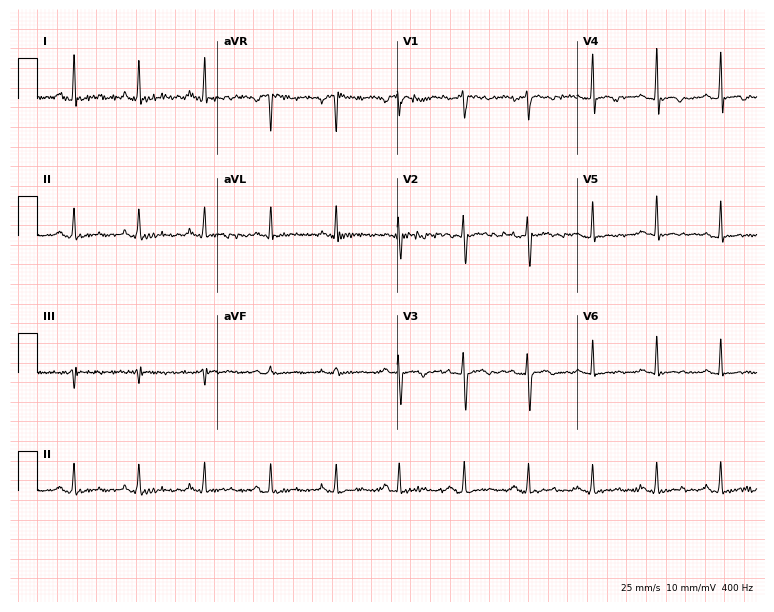
12-lead ECG from a 36-year-old female. Screened for six findings — first-degree AV block, right bundle branch block, left bundle branch block, sinus bradycardia, atrial fibrillation, sinus tachycardia — none is recorded. Findings outside these six are not listed.